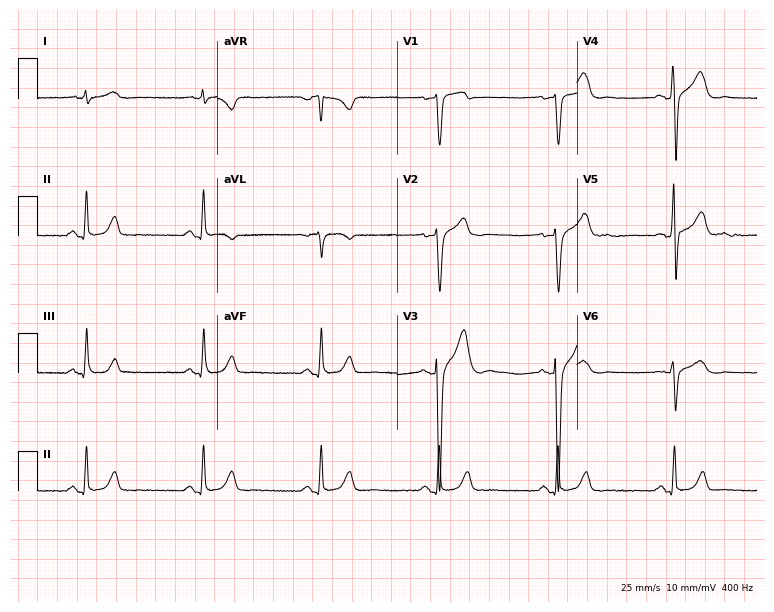
ECG (7.3-second recording at 400 Hz) — a man, 47 years old. Screened for six findings — first-degree AV block, right bundle branch block (RBBB), left bundle branch block (LBBB), sinus bradycardia, atrial fibrillation (AF), sinus tachycardia — none is recorded.